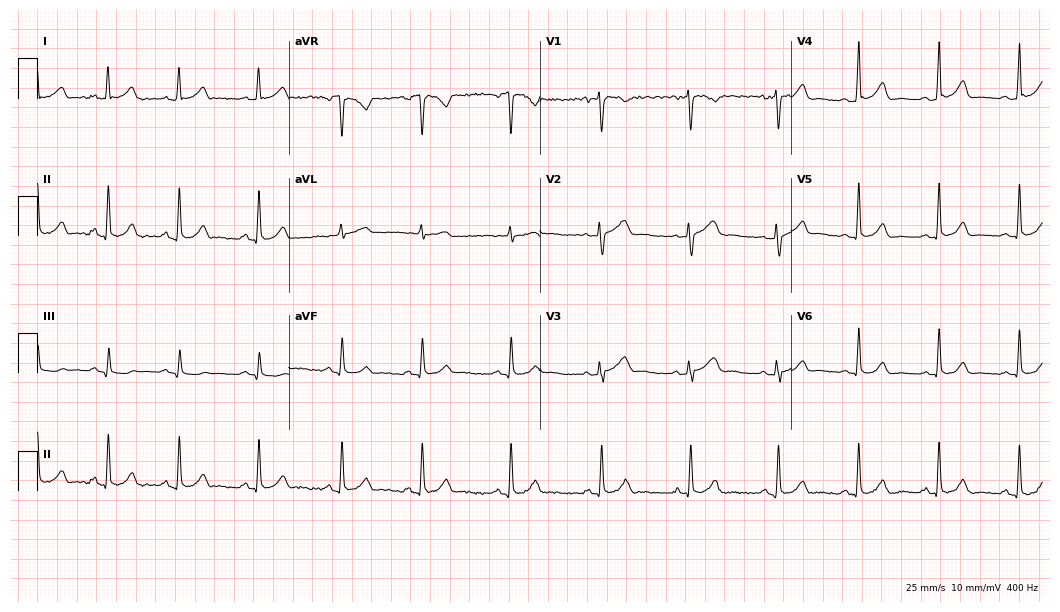
ECG — a female patient, 29 years old. Labelled as a normal ECG.